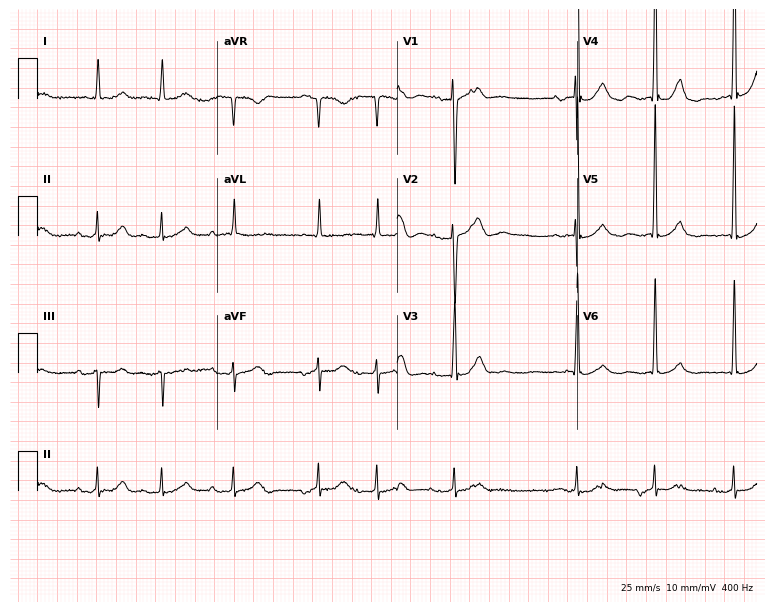
12-lead ECG (7.3-second recording at 400 Hz) from a woman, 78 years old. Screened for six findings — first-degree AV block, right bundle branch block, left bundle branch block, sinus bradycardia, atrial fibrillation, sinus tachycardia — none is recorded. Findings outside these six are not listed.